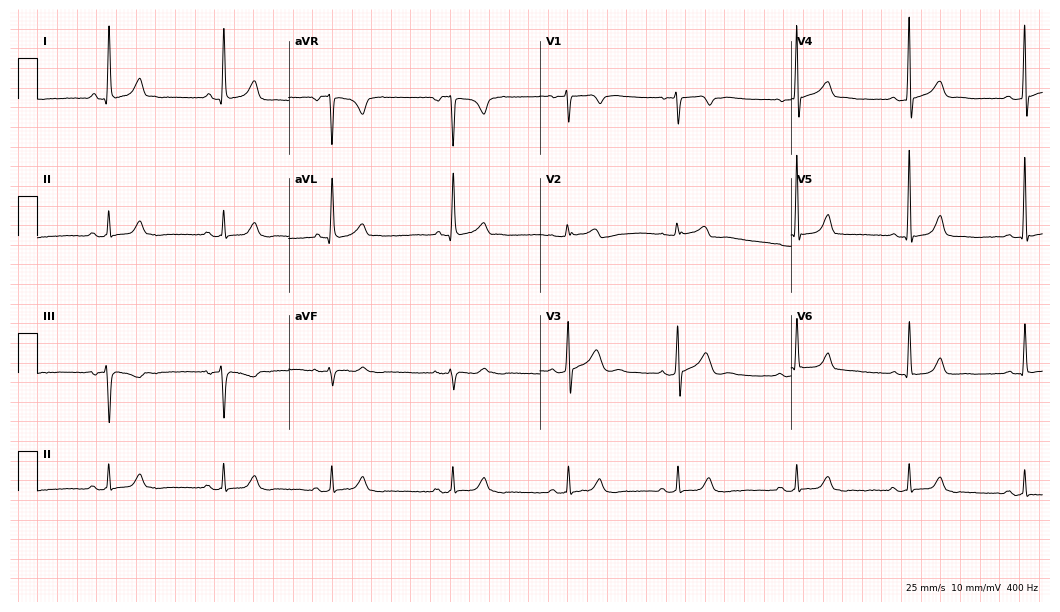
ECG — a woman, 37 years old. Screened for six findings — first-degree AV block, right bundle branch block, left bundle branch block, sinus bradycardia, atrial fibrillation, sinus tachycardia — none is recorded. Findings outside these six are not listed.